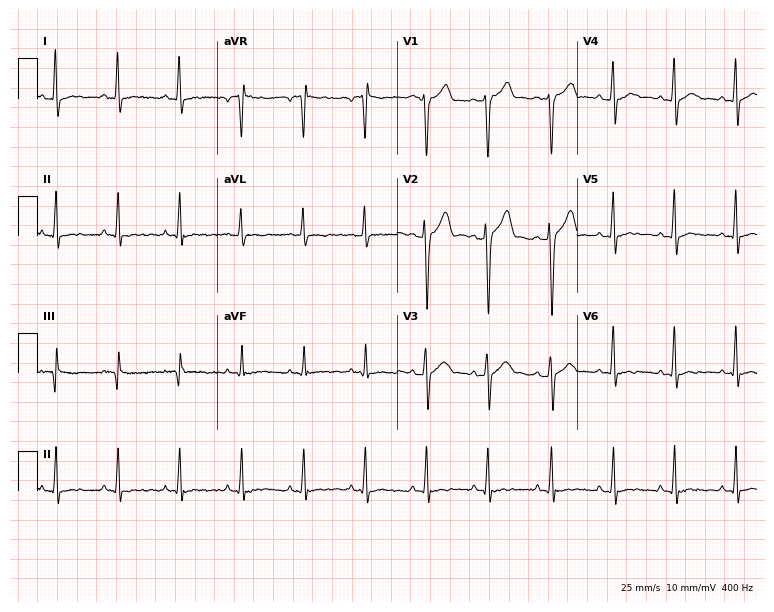
Standard 12-lead ECG recorded from a male, 28 years old (7.3-second recording at 400 Hz). None of these six findings is recorded: first-degree AV block, right bundle branch block, left bundle branch block, sinus bradycardia, atrial fibrillation, sinus tachycardia. Other findings, if any, are not listed.